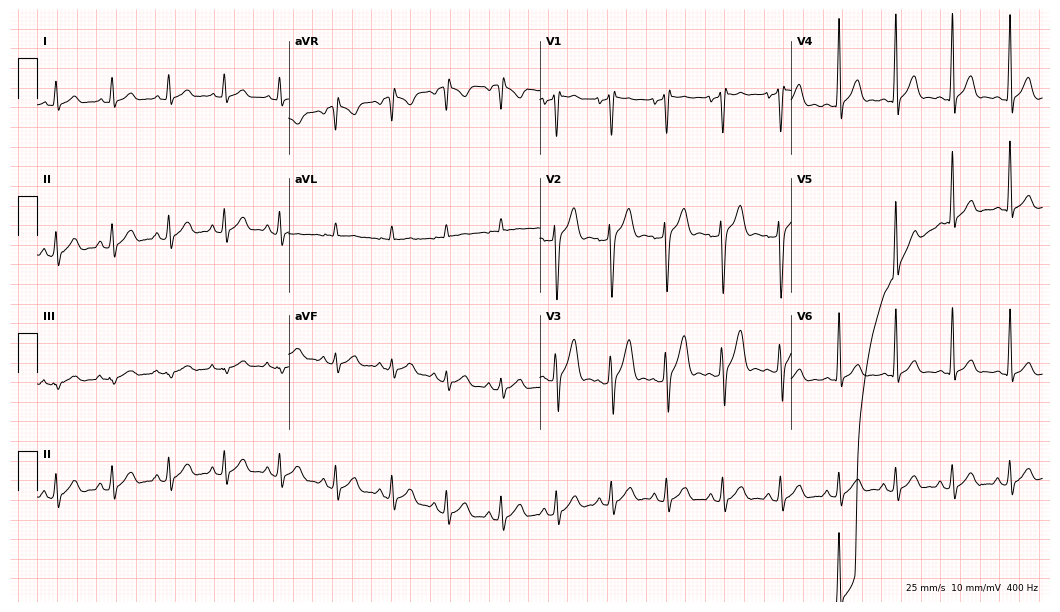
Resting 12-lead electrocardiogram (10.2-second recording at 400 Hz). Patient: a male, 20 years old. The tracing shows sinus tachycardia (a sinus rate of 100 beats per minute or more).